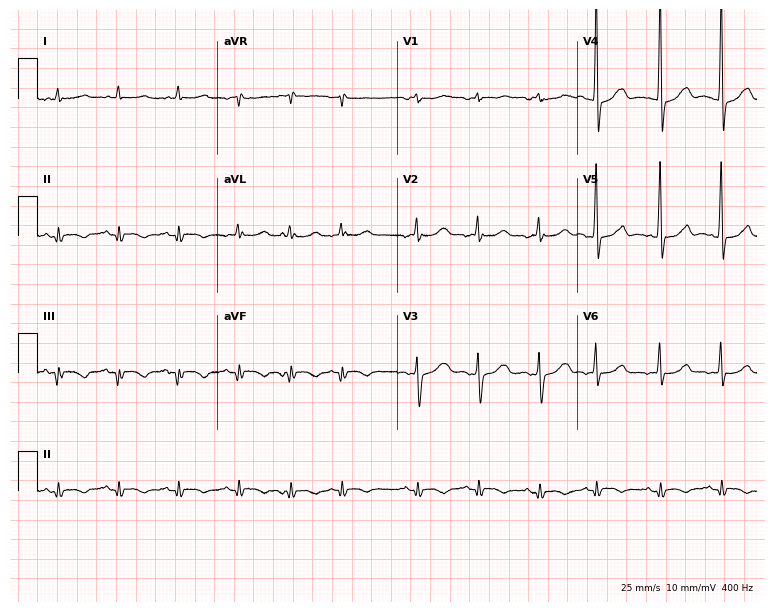
Electrocardiogram (7.3-second recording at 400 Hz), a 77-year-old male. Of the six screened findings (first-degree AV block, right bundle branch block (RBBB), left bundle branch block (LBBB), sinus bradycardia, atrial fibrillation (AF), sinus tachycardia), none is recorded.